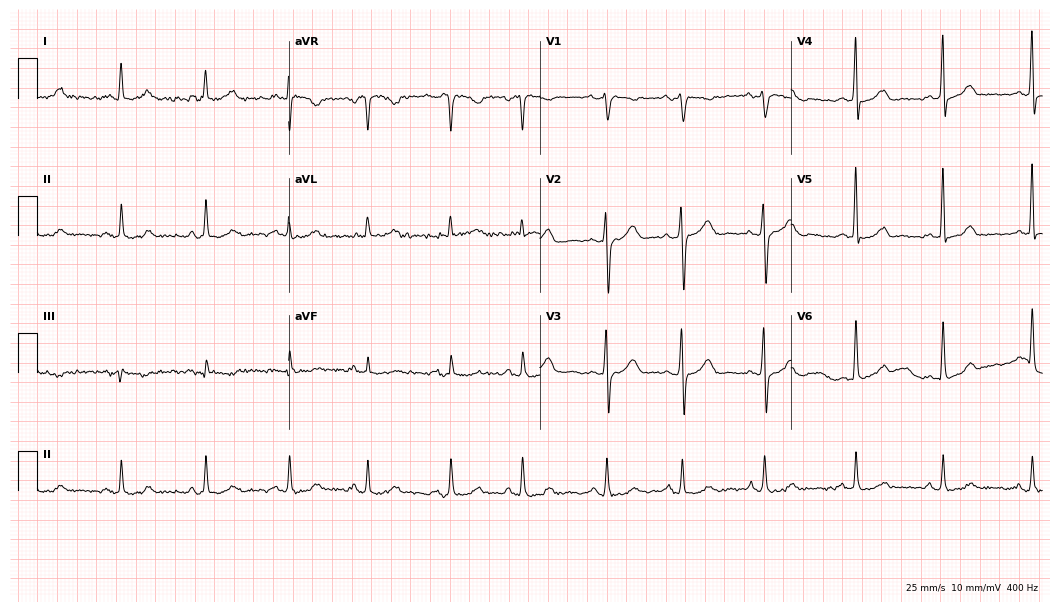
ECG — a 59-year-old woman. Labelled as a normal ECG.